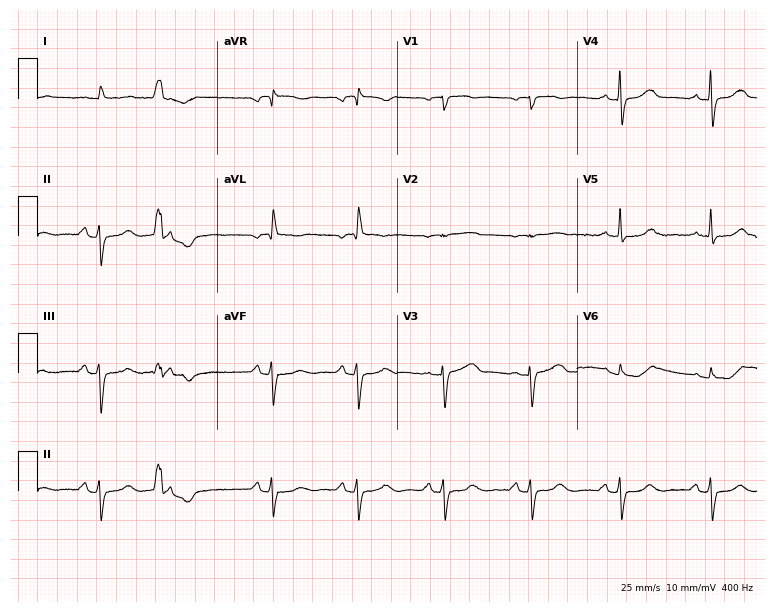
Resting 12-lead electrocardiogram. Patient: a 76-year-old female. None of these six findings is recorded: first-degree AV block, right bundle branch block, left bundle branch block, sinus bradycardia, atrial fibrillation, sinus tachycardia.